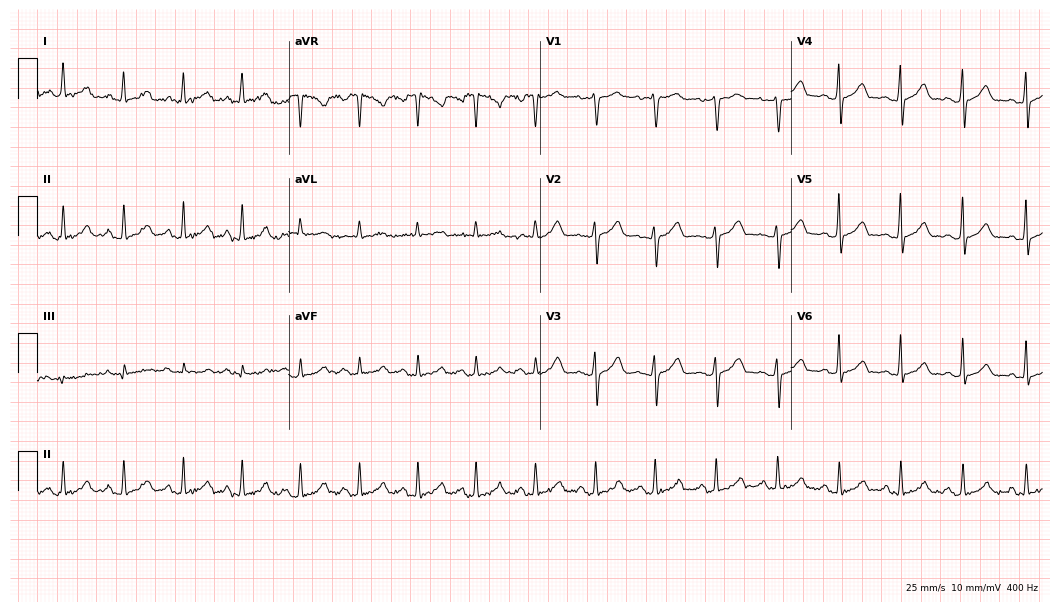
12-lead ECG from a 39-year-old female. Labelled as a normal ECG.